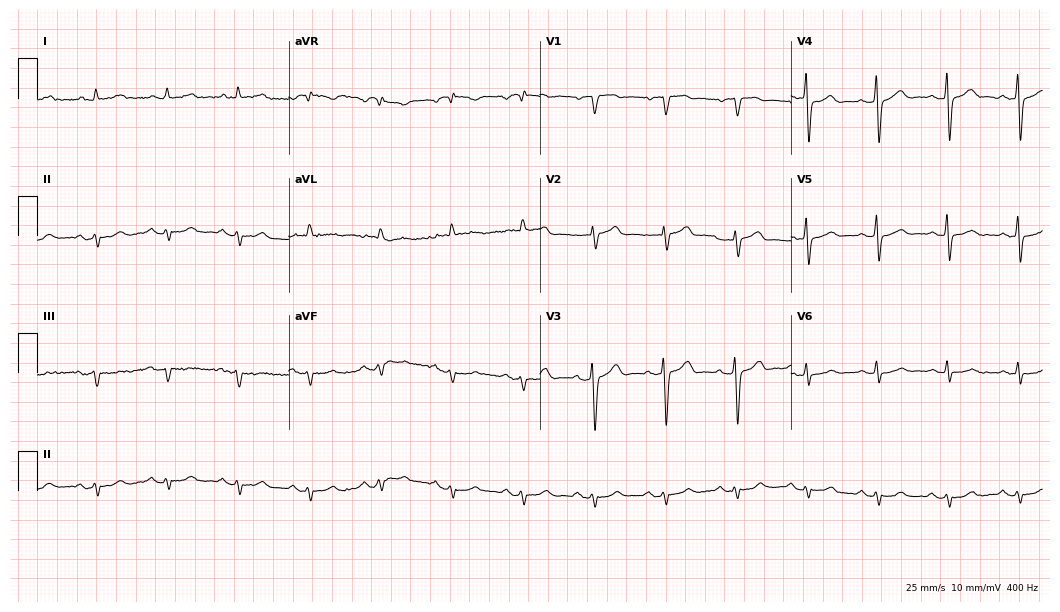
Standard 12-lead ECG recorded from an 82-year-old male patient. None of these six findings is recorded: first-degree AV block, right bundle branch block, left bundle branch block, sinus bradycardia, atrial fibrillation, sinus tachycardia.